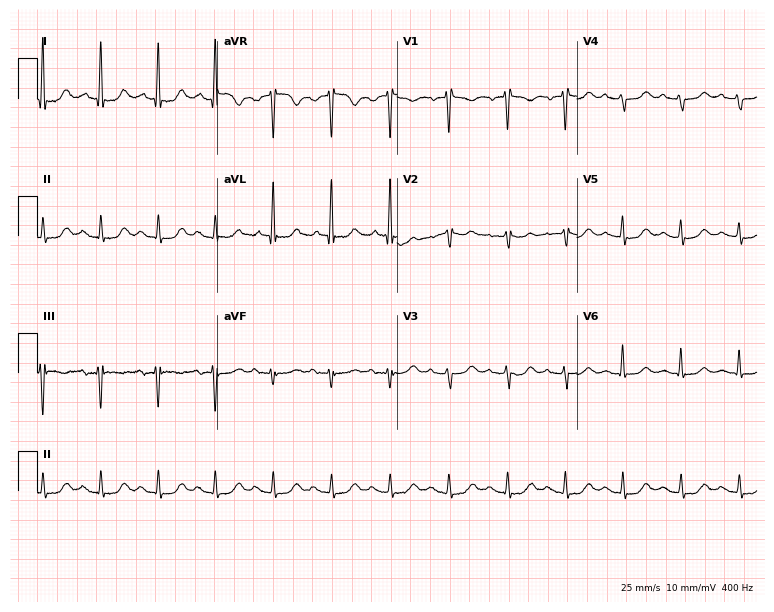
12-lead ECG (7.3-second recording at 400 Hz) from a woman, 63 years old. Screened for six findings — first-degree AV block, right bundle branch block, left bundle branch block, sinus bradycardia, atrial fibrillation, sinus tachycardia — none is recorded. Other findings, if any, are not listed.